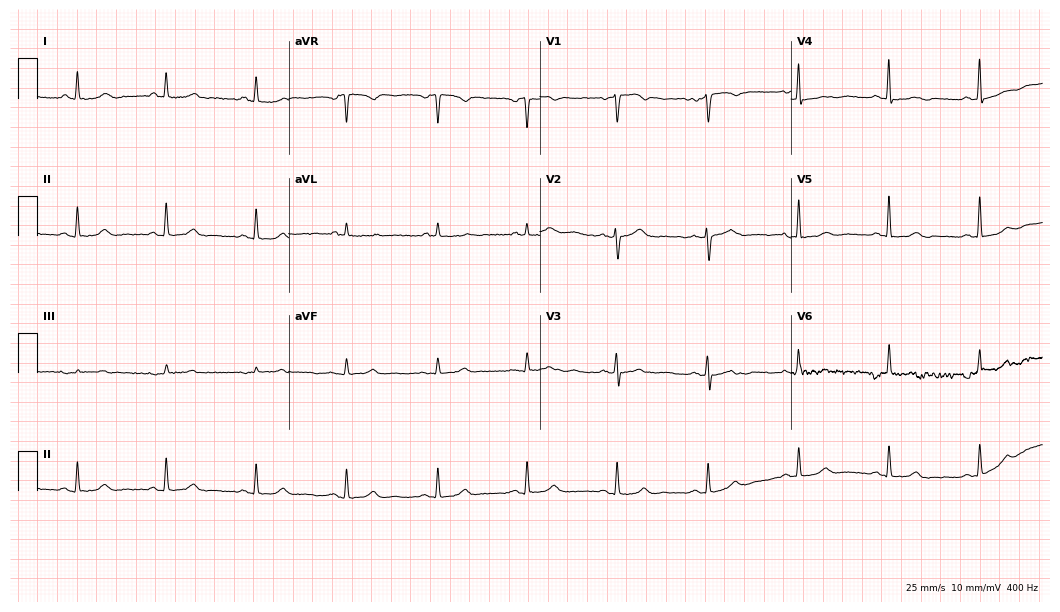
12-lead ECG from a female patient, 69 years old (10.2-second recording at 400 Hz). Recorded interpretation: within normal limits.